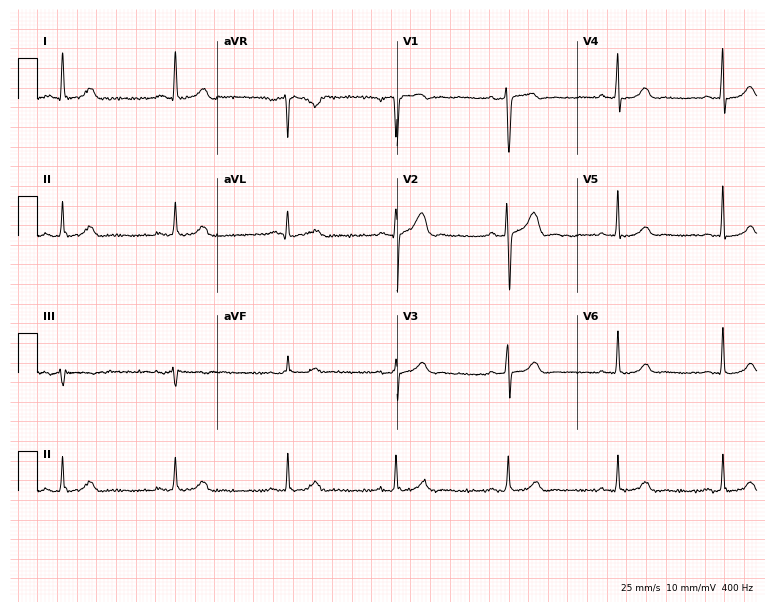
Resting 12-lead electrocardiogram. Patient: a 47-year-old man. None of these six findings is recorded: first-degree AV block, right bundle branch block, left bundle branch block, sinus bradycardia, atrial fibrillation, sinus tachycardia.